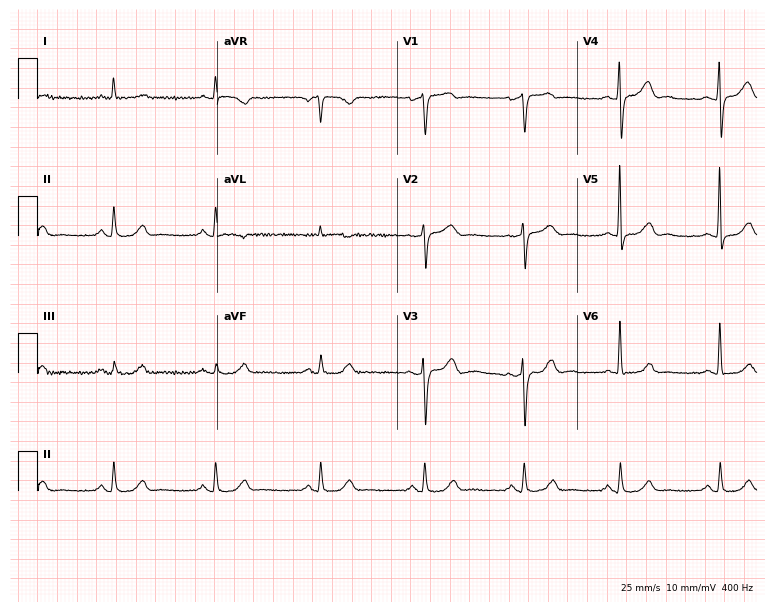
12-lead ECG from a 67-year-old female patient (7.3-second recording at 400 Hz). Recorded interpretation: within normal limits.